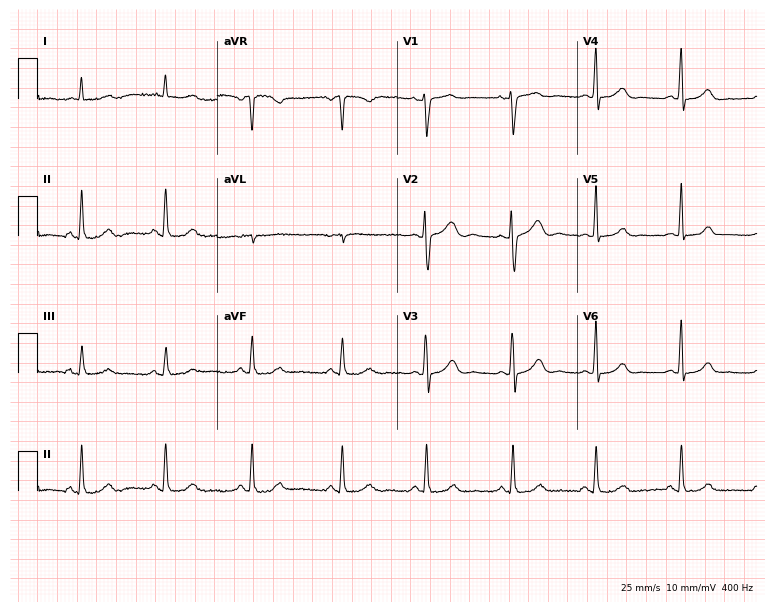
Electrocardiogram (7.3-second recording at 400 Hz), a female patient, 48 years old. Of the six screened findings (first-degree AV block, right bundle branch block (RBBB), left bundle branch block (LBBB), sinus bradycardia, atrial fibrillation (AF), sinus tachycardia), none is recorded.